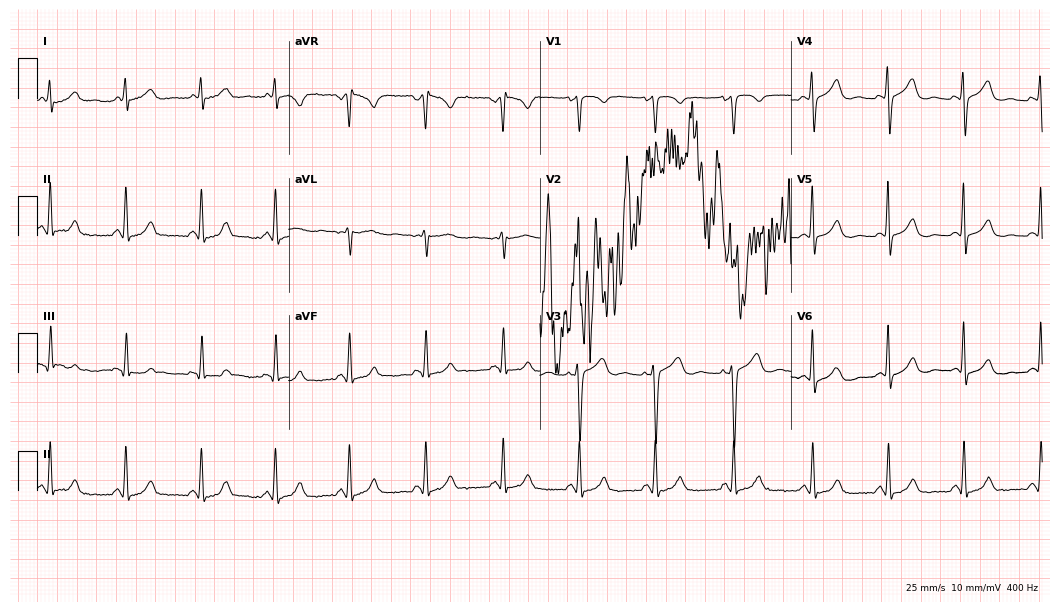
12-lead ECG from a 26-year-old female patient (10.2-second recording at 400 Hz). Recorded interpretation: within normal limits.